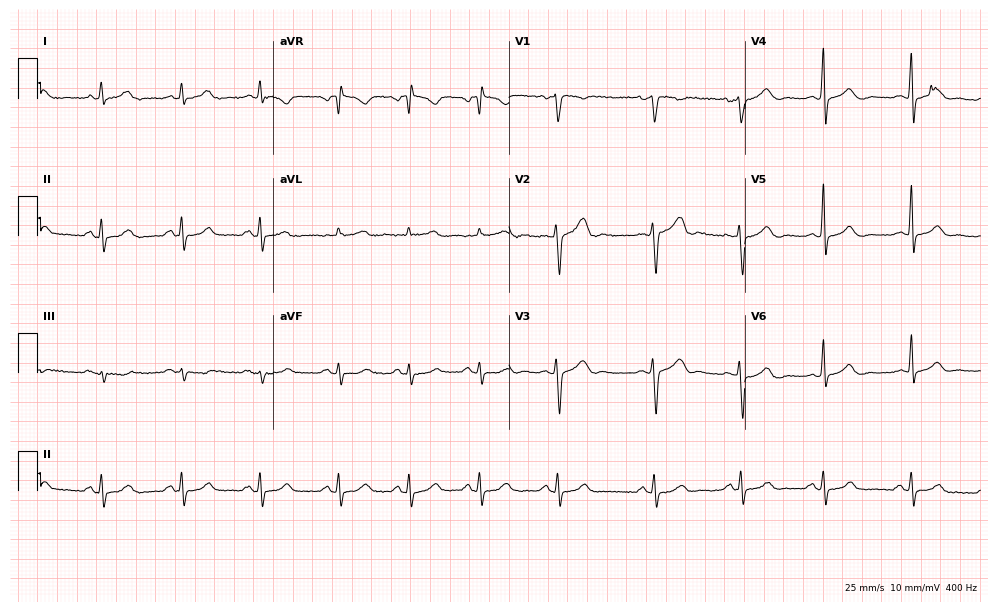
Resting 12-lead electrocardiogram. Patient: a female, 43 years old. None of these six findings is recorded: first-degree AV block, right bundle branch block, left bundle branch block, sinus bradycardia, atrial fibrillation, sinus tachycardia.